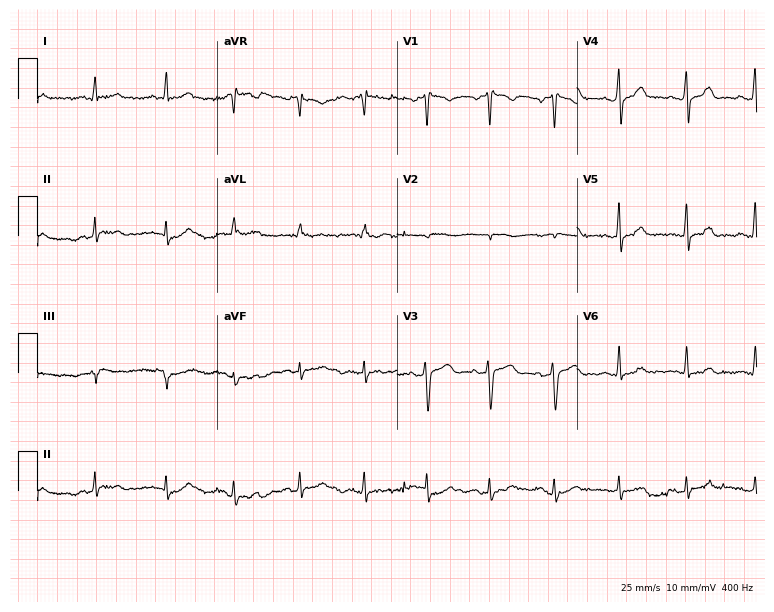
Standard 12-lead ECG recorded from a woman, 31 years old. None of these six findings is recorded: first-degree AV block, right bundle branch block, left bundle branch block, sinus bradycardia, atrial fibrillation, sinus tachycardia.